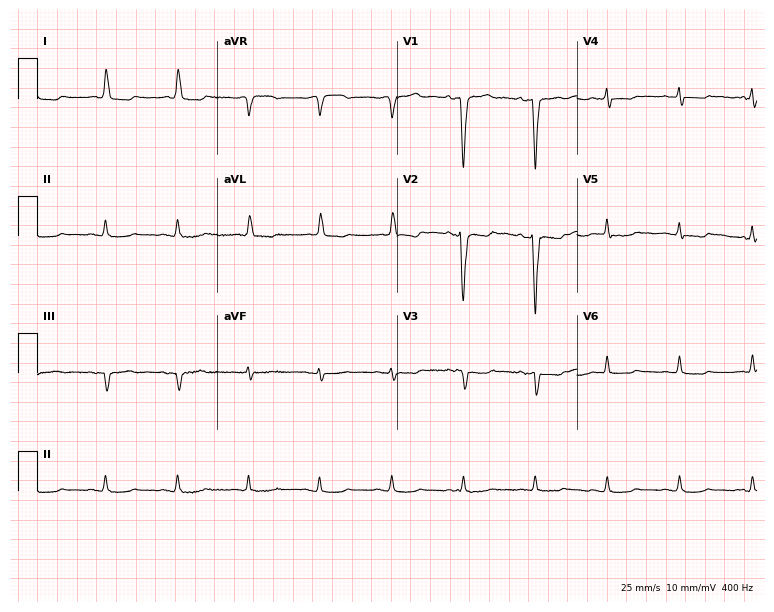
ECG — a woman, 84 years old. Screened for six findings — first-degree AV block, right bundle branch block (RBBB), left bundle branch block (LBBB), sinus bradycardia, atrial fibrillation (AF), sinus tachycardia — none is recorded. Only these six findings were labelled.